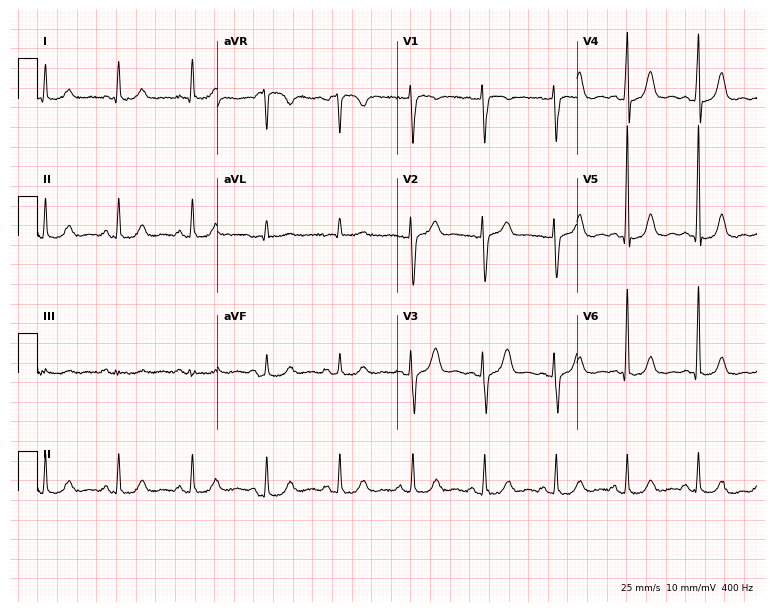
12-lead ECG from a 72-year-old woman. Labelled as a normal ECG.